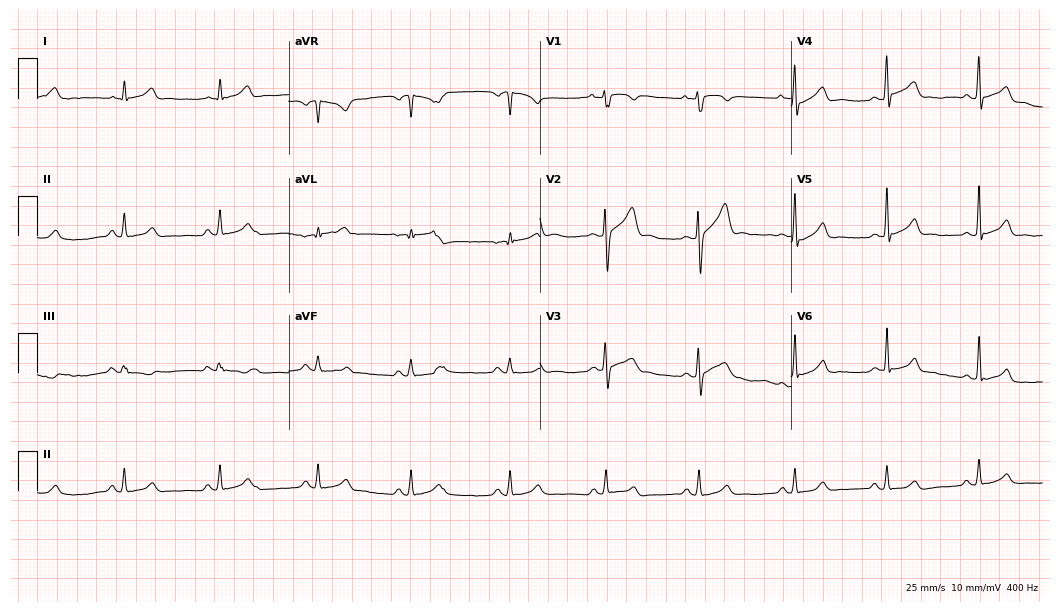
Resting 12-lead electrocardiogram (10.2-second recording at 400 Hz). Patient: a man, 26 years old. Read as a normal ECG.